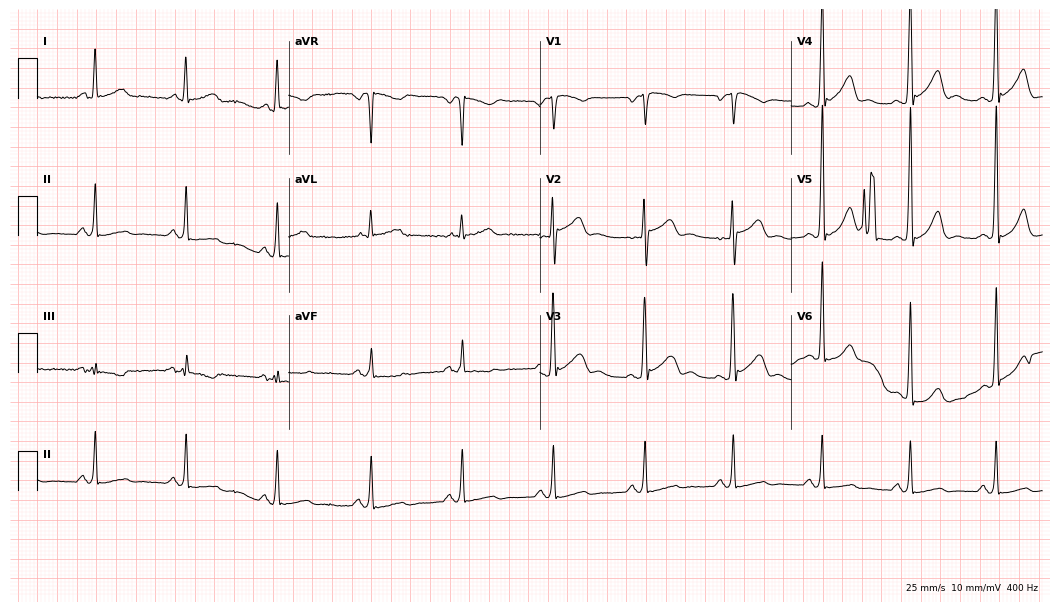
Standard 12-lead ECG recorded from a female patient, 56 years old (10.2-second recording at 400 Hz). None of these six findings is recorded: first-degree AV block, right bundle branch block, left bundle branch block, sinus bradycardia, atrial fibrillation, sinus tachycardia. Other findings, if any, are not listed.